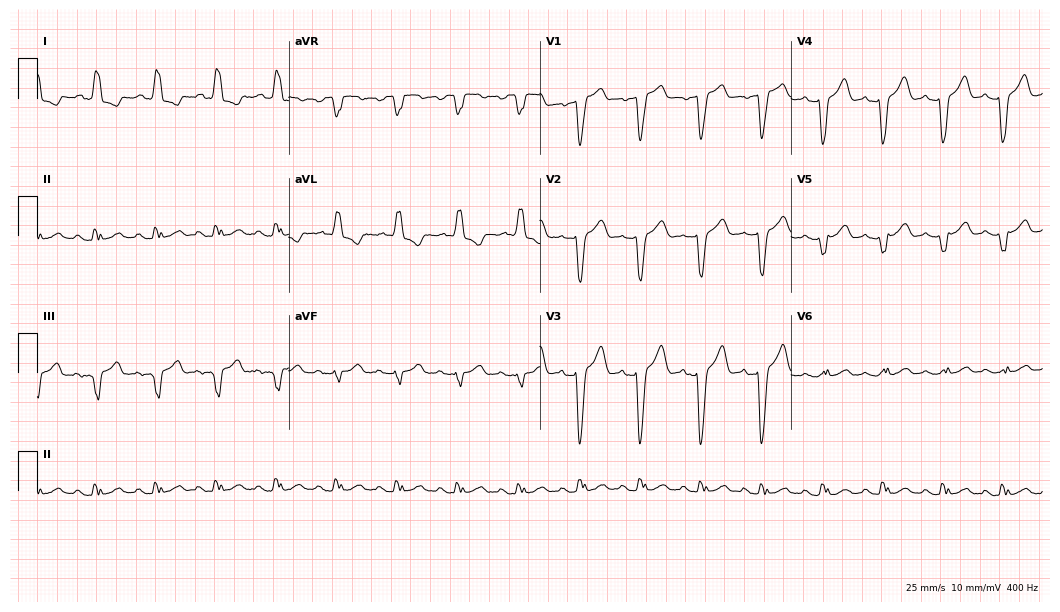
ECG (10.2-second recording at 400 Hz) — a female patient, 70 years old. Findings include left bundle branch block (LBBB).